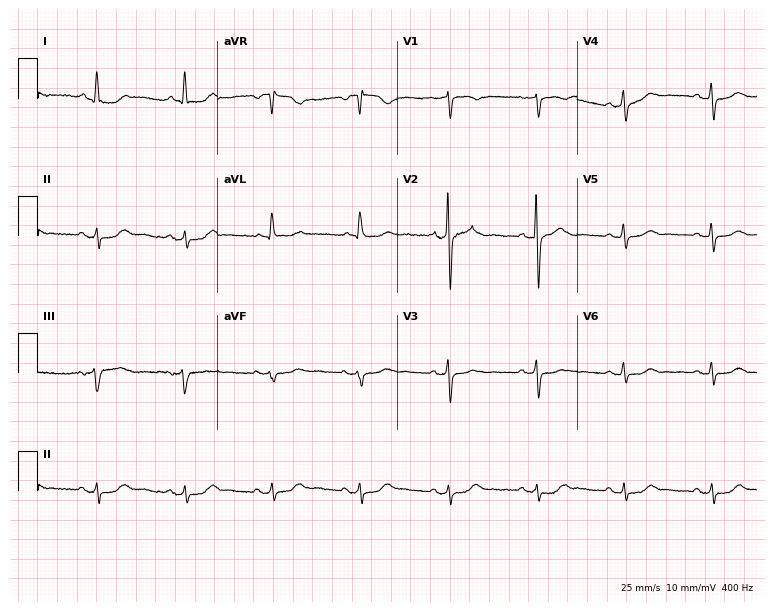
Standard 12-lead ECG recorded from an 81-year-old woman. Read as a normal ECG.